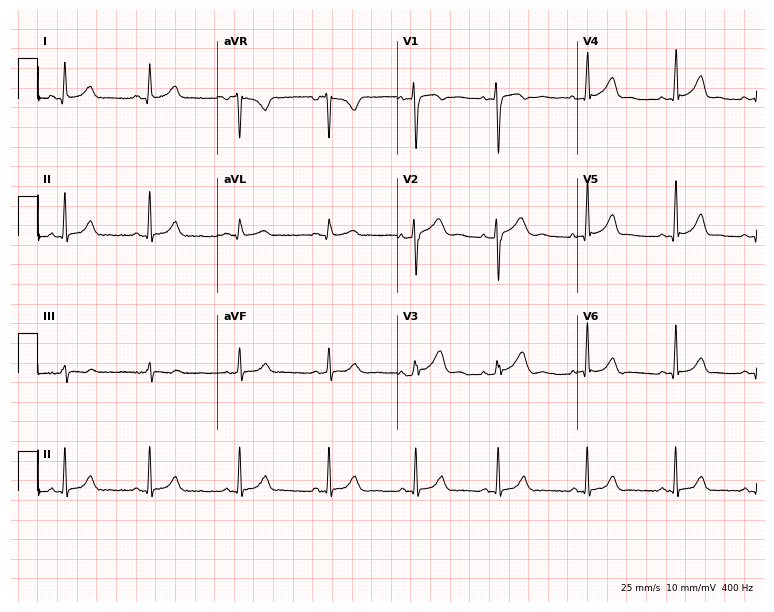
Standard 12-lead ECG recorded from an 18-year-old woman. Read as a normal ECG.